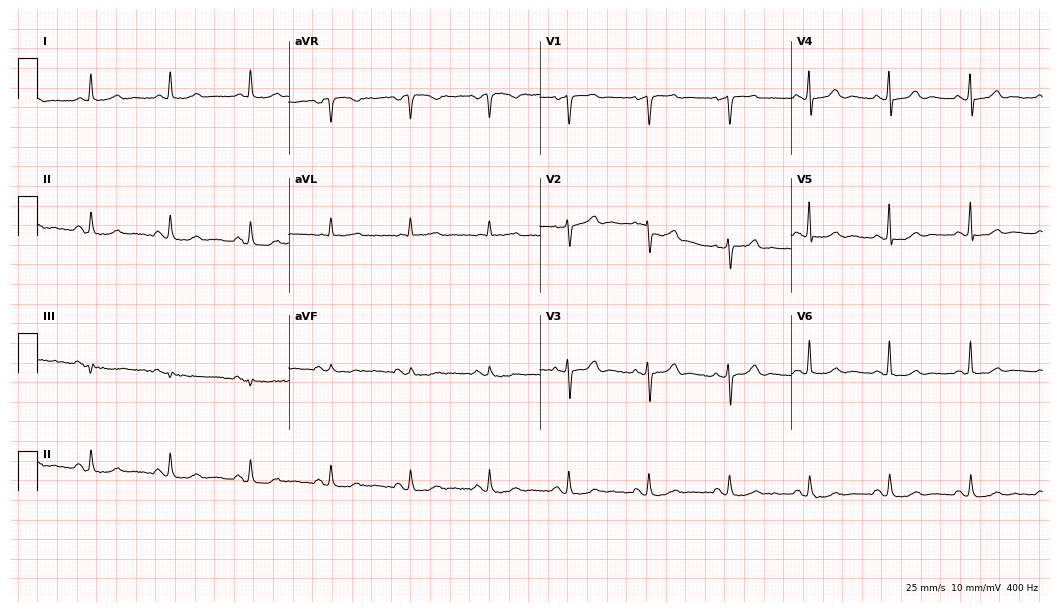
Resting 12-lead electrocardiogram. Patient: a 68-year-old man. None of these six findings is recorded: first-degree AV block, right bundle branch block, left bundle branch block, sinus bradycardia, atrial fibrillation, sinus tachycardia.